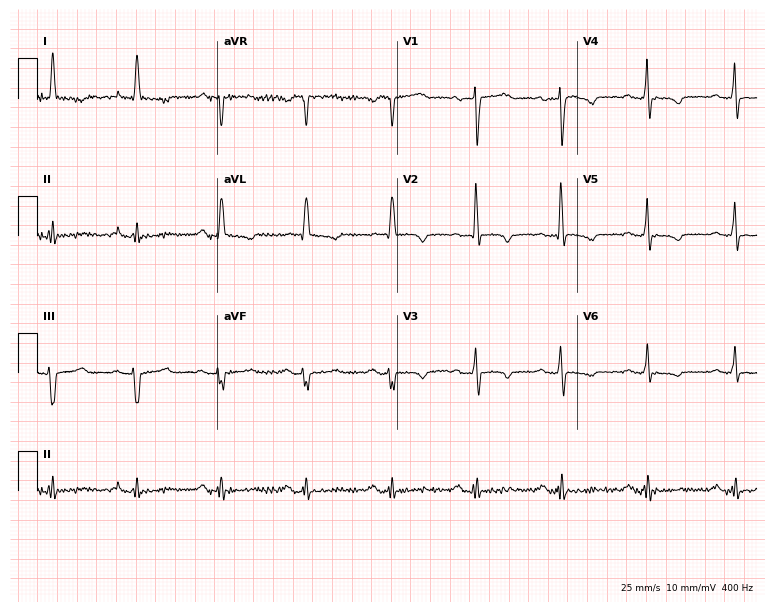
12-lead ECG from a 75-year-old female patient. Screened for six findings — first-degree AV block, right bundle branch block, left bundle branch block, sinus bradycardia, atrial fibrillation, sinus tachycardia — none is recorded. Findings outside these six are not listed.